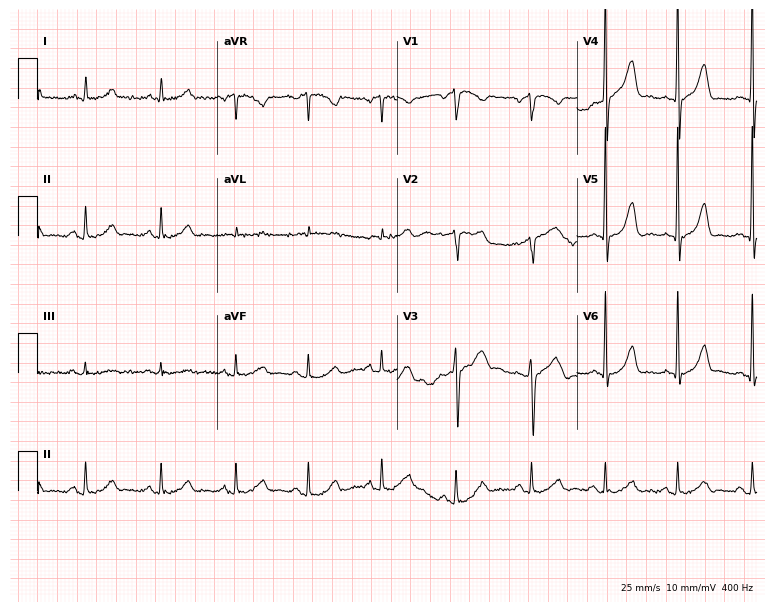
Standard 12-lead ECG recorded from a 66-year-old male (7.3-second recording at 400 Hz). Read as a normal ECG.